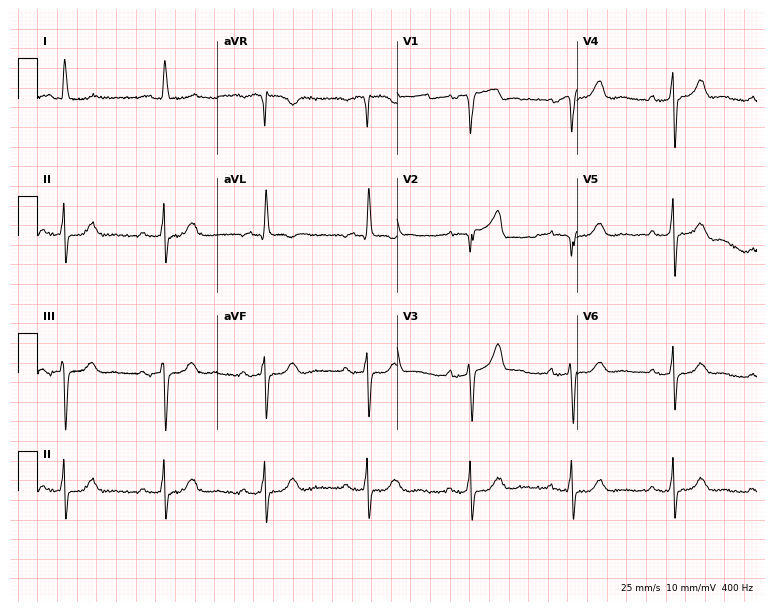
12-lead ECG (7.3-second recording at 400 Hz) from a male, 72 years old. Screened for six findings — first-degree AV block, right bundle branch block, left bundle branch block, sinus bradycardia, atrial fibrillation, sinus tachycardia — none is recorded.